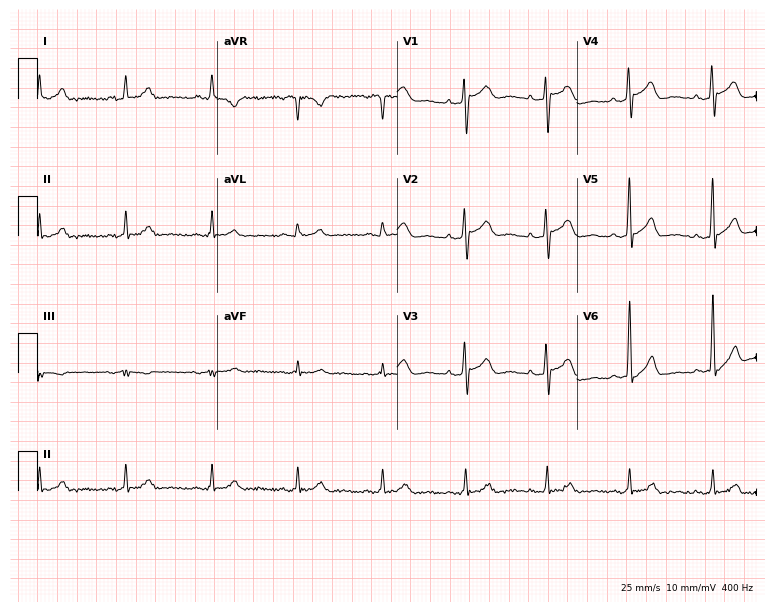
ECG — a male, 42 years old. Screened for six findings — first-degree AV block, right bundle branch block (RBBB), left bundle branch block (LBBB), sinus bradycardia, atrial fibrillation (AF), sinus tachycardia — none is recorded.